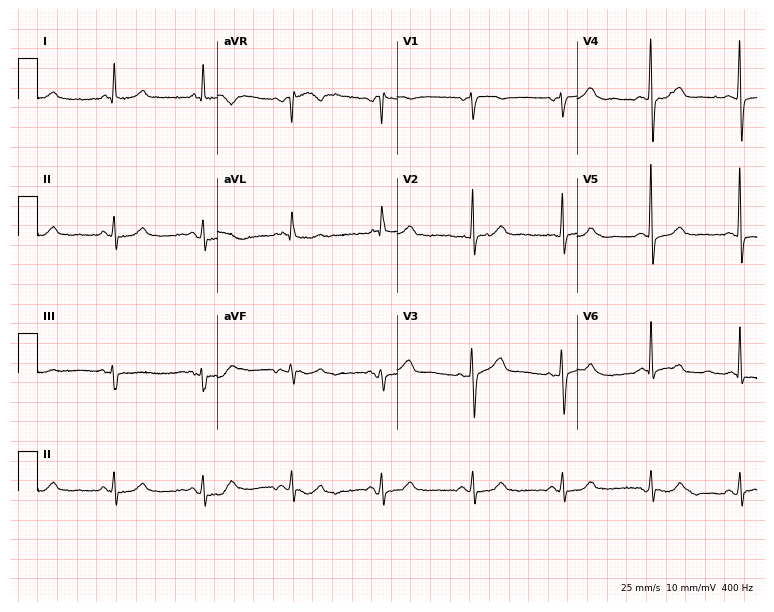
Standard 12-lead ECG recorded from a 68-year-old male patient. Read as a normal ECG.